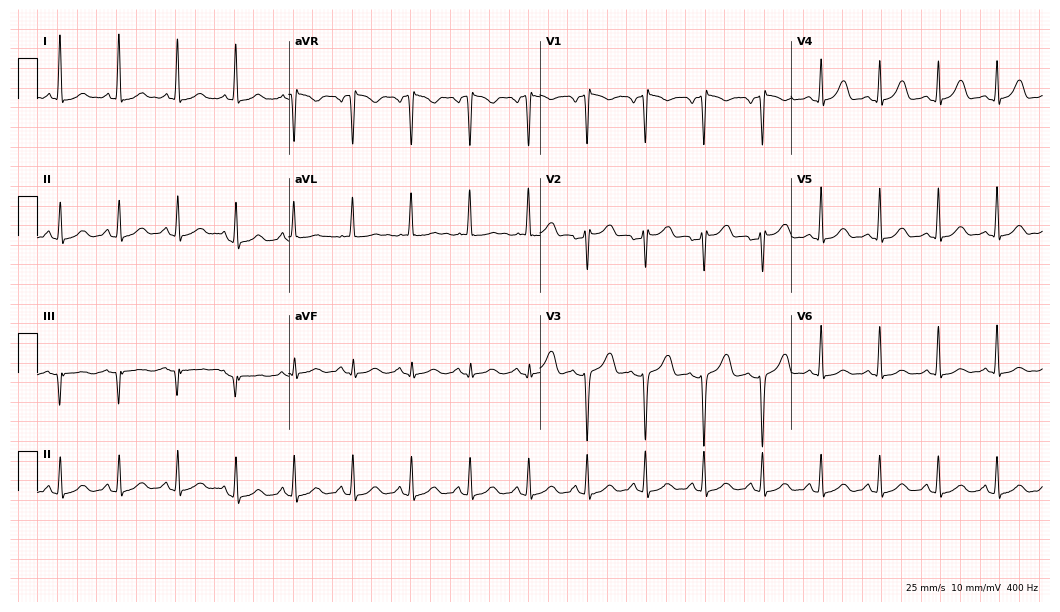
Electrocardiogram (10.2-second recording at 400 Hz), a 26-year-old woman. Of the six screened findings (first-degree AV block, right bundle branch block, left bundle branch block, sinus bradycardia, atrial fibrillation, sinus tachycardia), none is recorded.